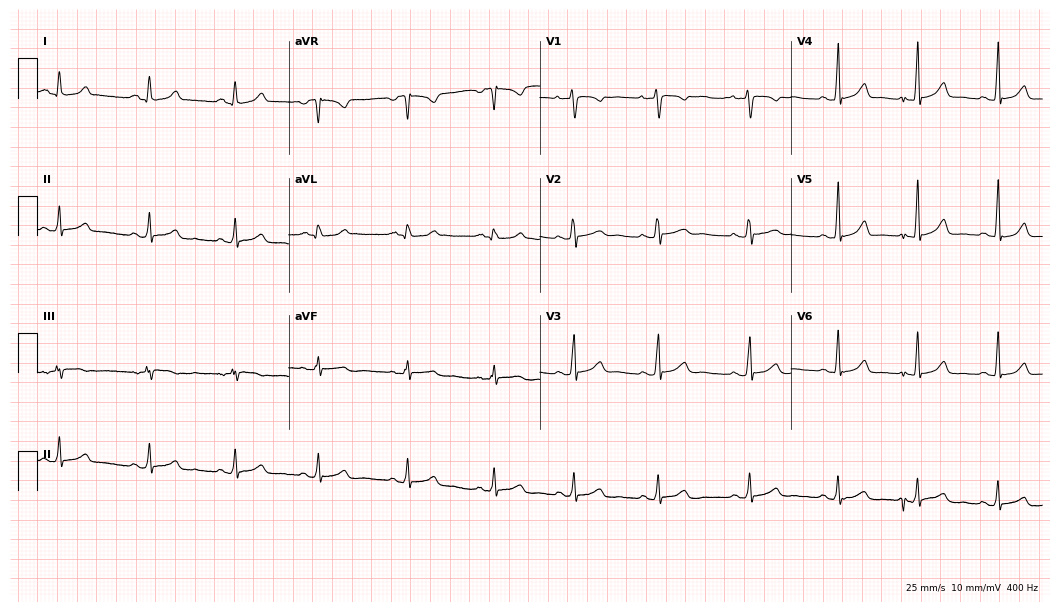
ECG (10.2-second recording at 400 Hz) — a female patient, 26 years old. Labelled as a normal ECG.